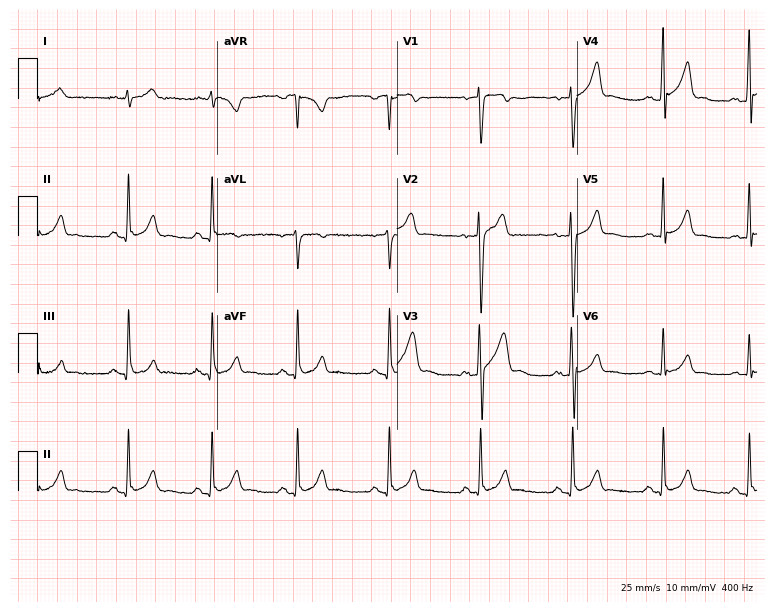
12-lead ECG from a 26-year-old male. Recorded interpretation: within normal limits.